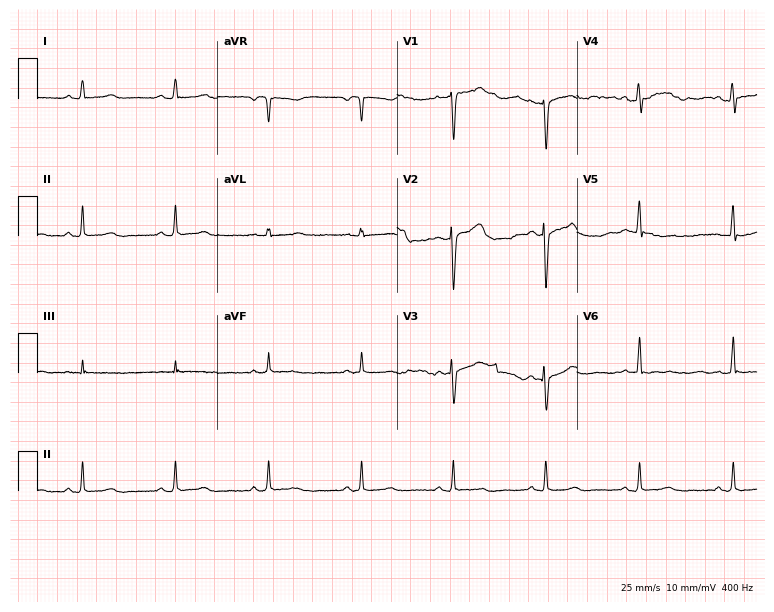
Electrocardiogram (7.3-second recording at 400 Hz), a female, 41 years old. Of the six screened findings (first-degree AV block, right bundle branch block (RBBB), left bundle branch block (LBBB), sinus bradycardia, atrial fibrillation (AF), sinus tachycardia), none is recorded. Other findings, if any, are not listed.